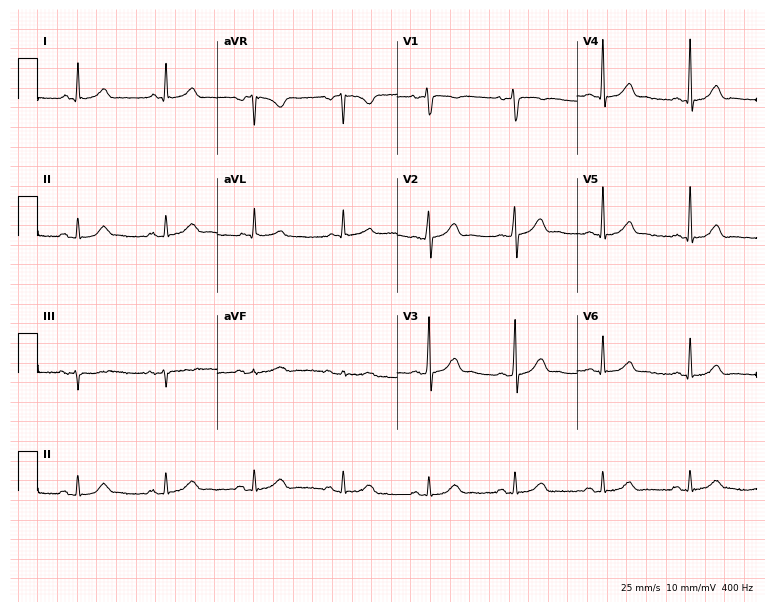
Standard 12-lead ECG recorded from a man, 51 years old. Read as a normal ECG.